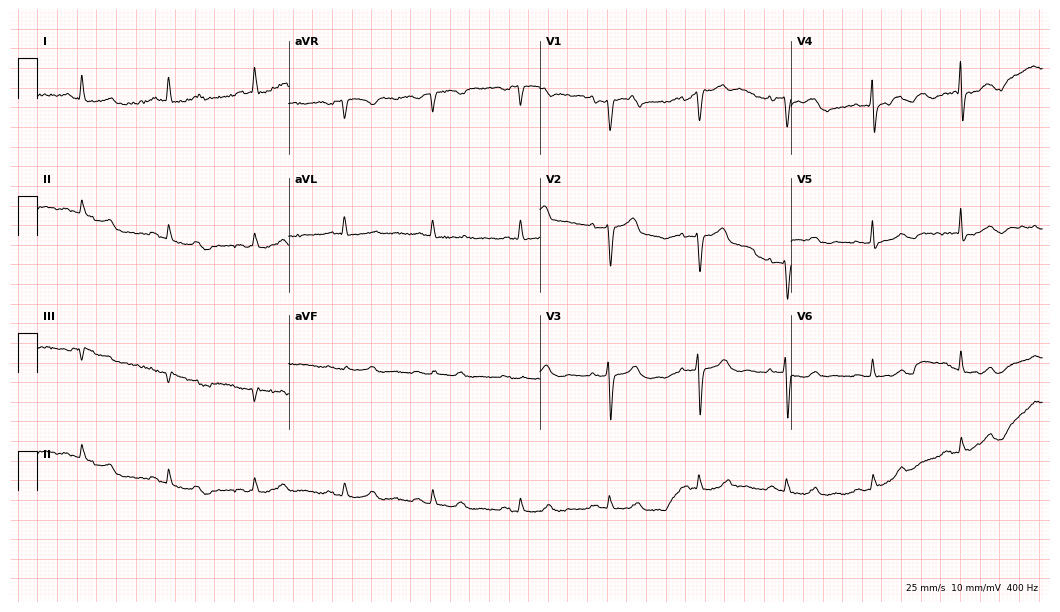
Standard 12-lead ECG recorded from a 61-year-old female patient. Read as a normal ECG.